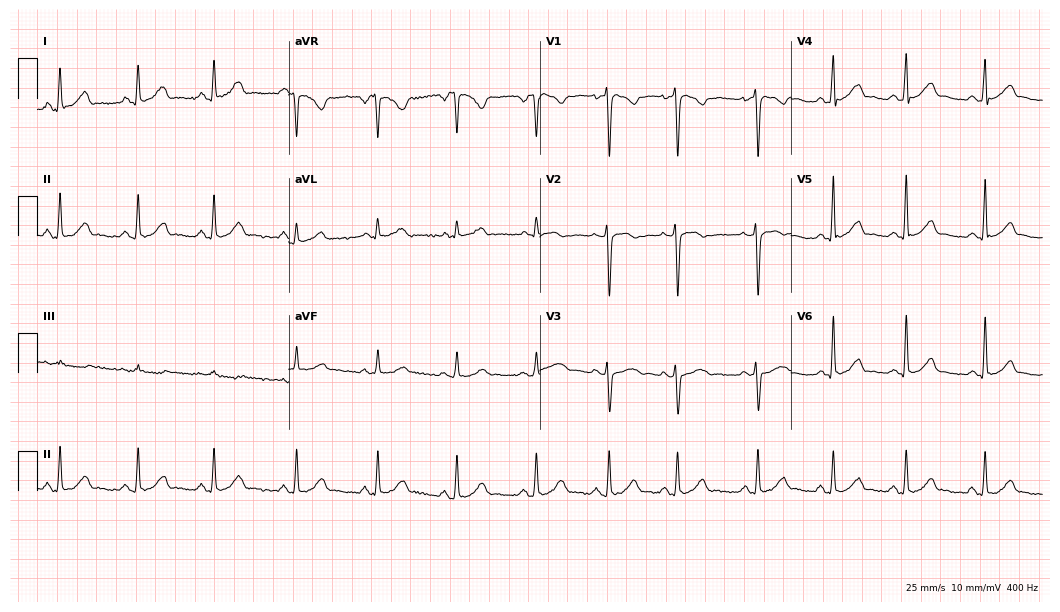
12-lead ECG (10.2-second recording at 400 Hz) from a female, 30 years old. Screened for six findings — first-degree AV block, right bundle branch block, left bundle branch block, sinus bradycardia, atrial fibrillation, sinus tachycardia — none is recorded. Findings outside these six are not listed.